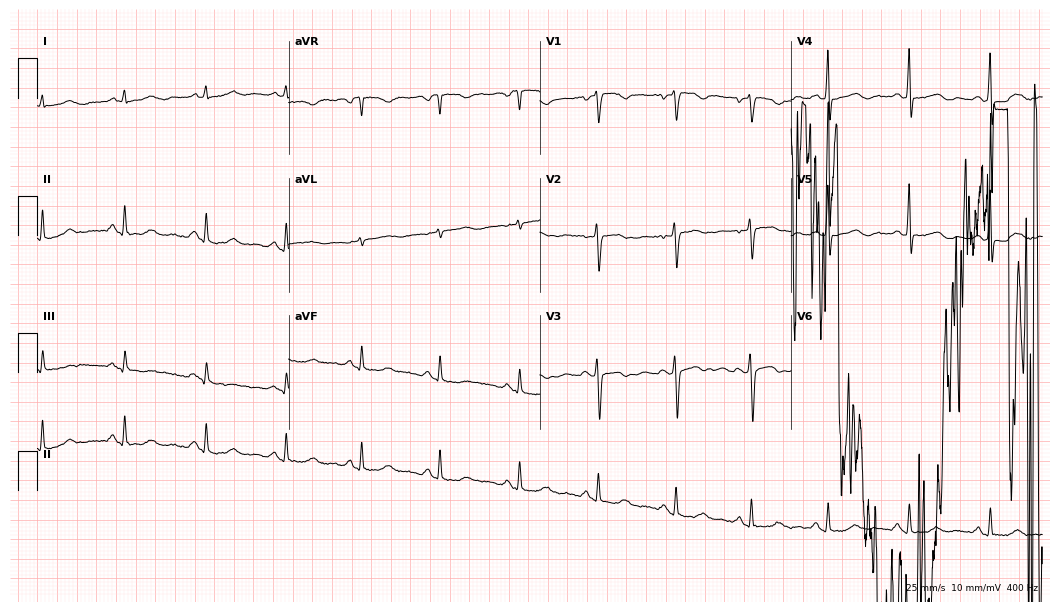
Resting 12-lead electrocardiogram. Patient: a 52-year-old female. None of these six findings is recorded: first-degree AV block, right bundle branch block, left bundle branch block, sinus bradycardia, atrial fibrillation, sinus tachycardia. Only these six findings were labelled.